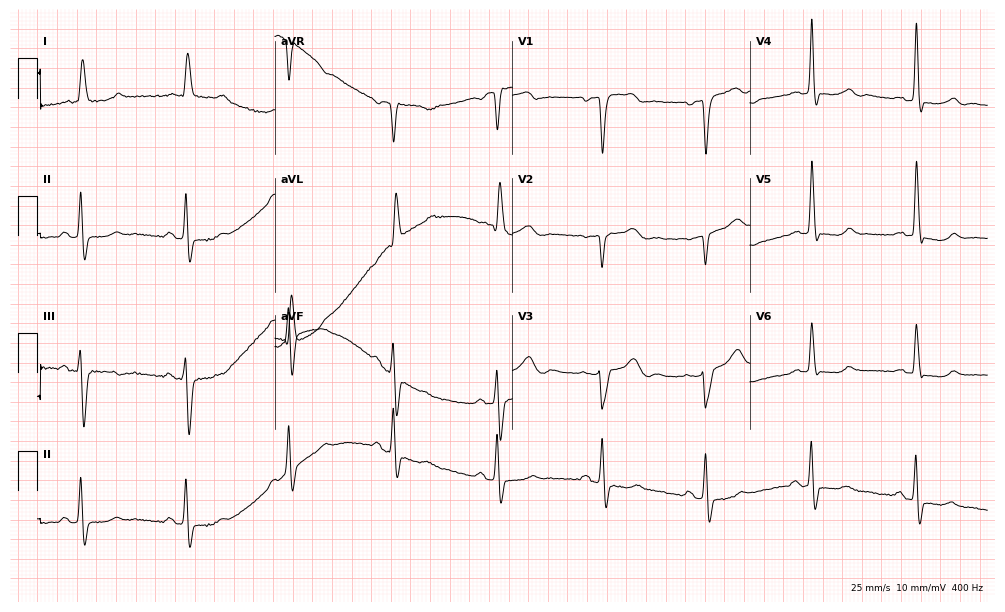
12-lead ECG from an 82-year-old woman (9.7-second recording at 400 Hz). Shows left bundle branch block.